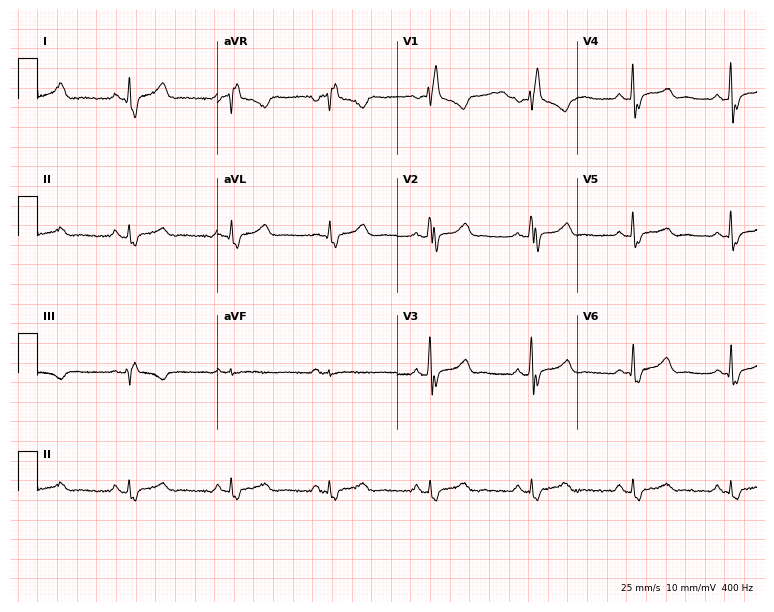
ECG (7.3-second recording at 400 Hz) — a 48-year-old man. Screened for six findings — first-degree AV block, right bundle branch block (RBBB), left bundle branch block (LBBB), sinus bradycardia, atrial fibrillation (AF), sinus tachycardia — none is recorded. Other findings, if any, are not listed.